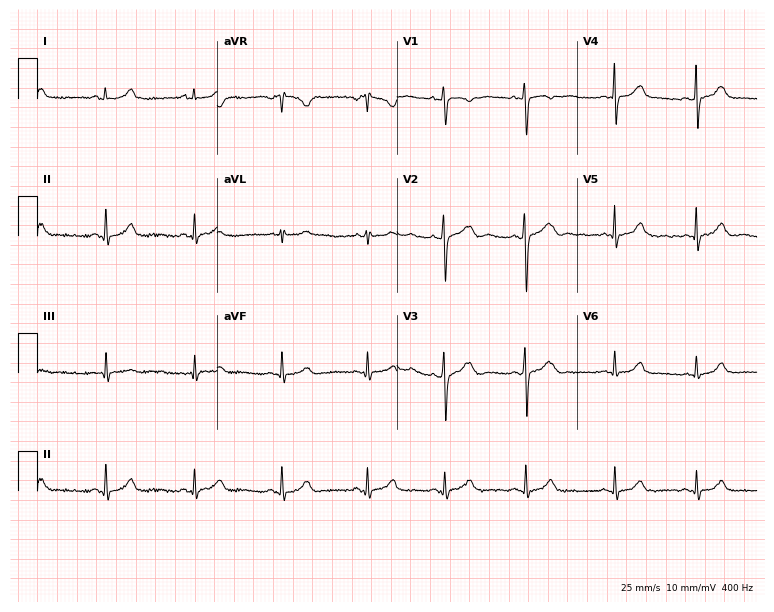
ECG — a 24-year-old female. Screened for six findings — first-degree AV block, right bundle branch block, left bundle branch block, sinus bradycardia, atrial fibrillation, sinus tachycardia — none is recorded.